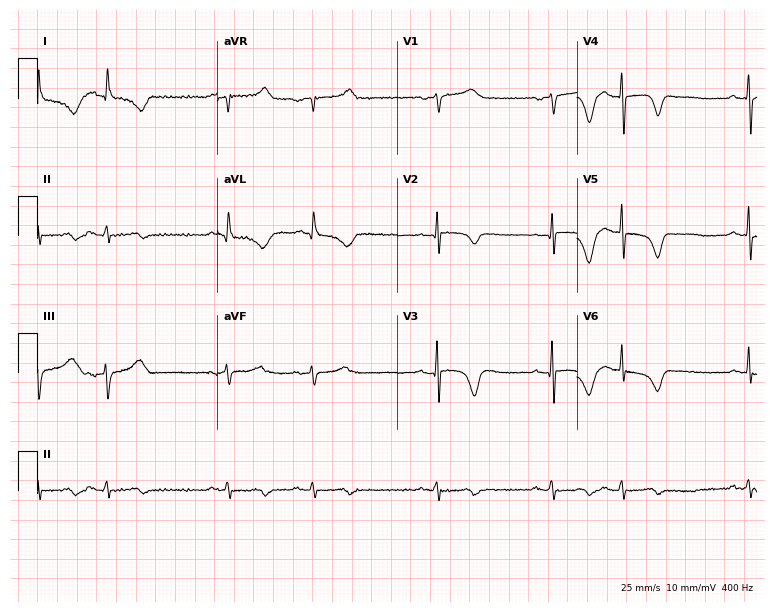
12-lead ECG from a 66-year-old man (7.3-second recording at 400 Hz). No first-degree AV block, right bundle branch block, left bundle branch block, sinus bradycardia, atrial fibrillation or sinus tachycardia recorded for this tracing. Only these six findings were labelled.